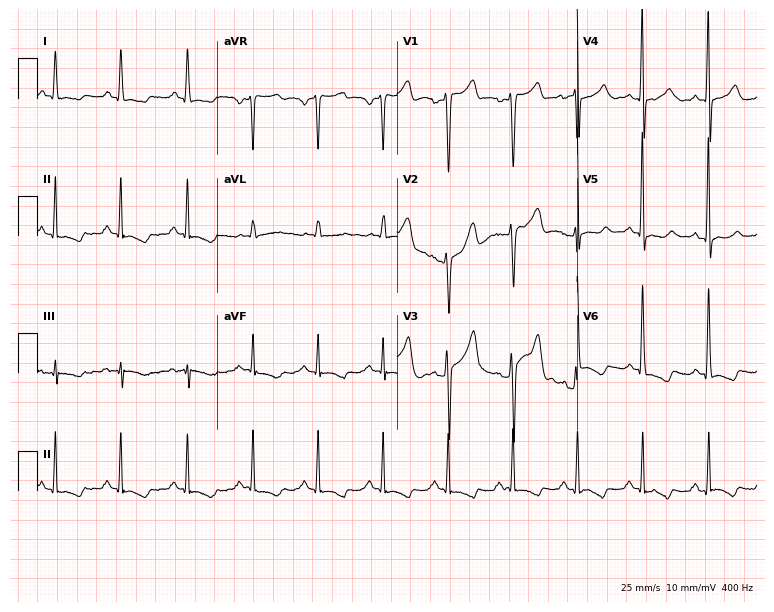
Standard 12-lead ECG recorded from a 50-year-old man. None of these six findings is recorded: first-degree AV block, right bundle branch block (RBBB), left bundle branch block (LBBB), sinus bradycardia, atrial fibrillation (AF), sinus tachycardia.